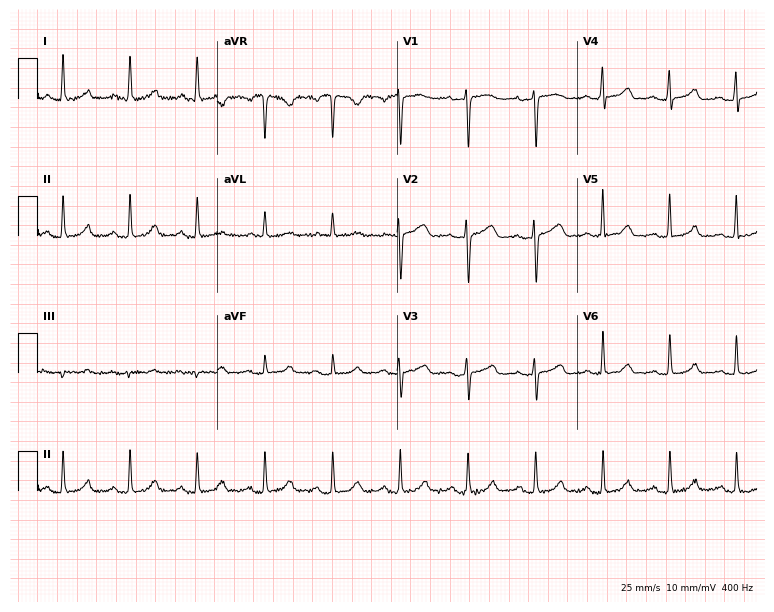
12-lead ECG from a 45-year-old woman (7.3-second recording at 400 Hz). Recorded interpretation: within normal limits.